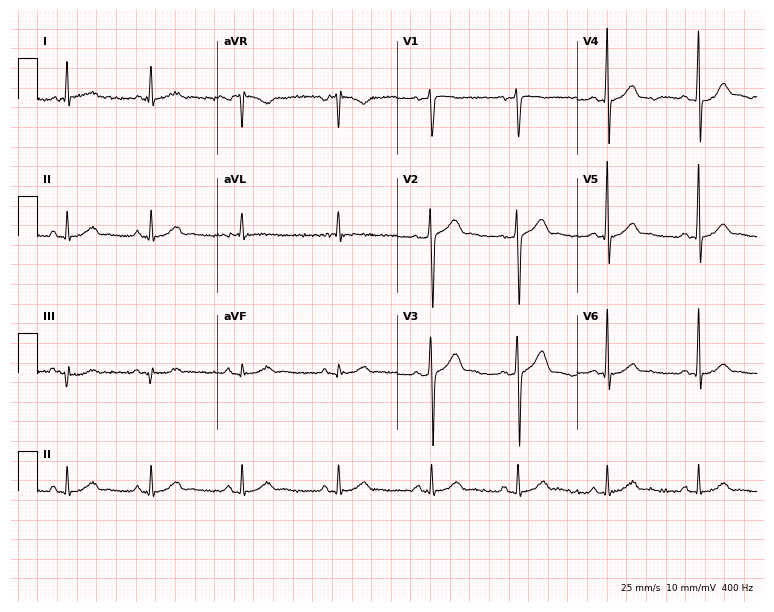
12-lead ECG from a 40-year-old male. Recorded interpretation: within normal limits.